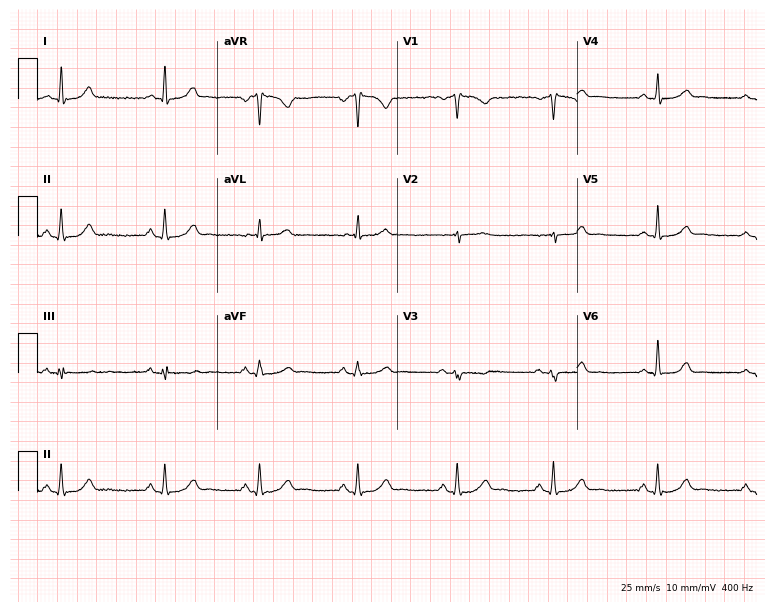
Standard 12-lead ECG recorded from a female, 37 years old (7.3-second recording at 400 Hz). Read as a normal ECG.